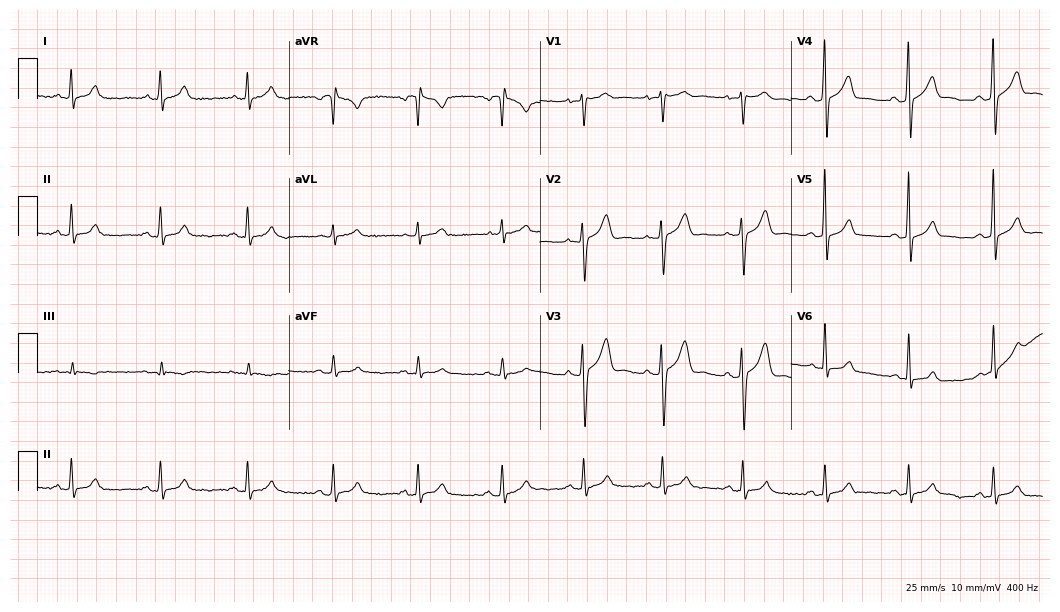
Standard 12-lead ECG recorded from a 33-year-old male patient. Read as a normal ECG.